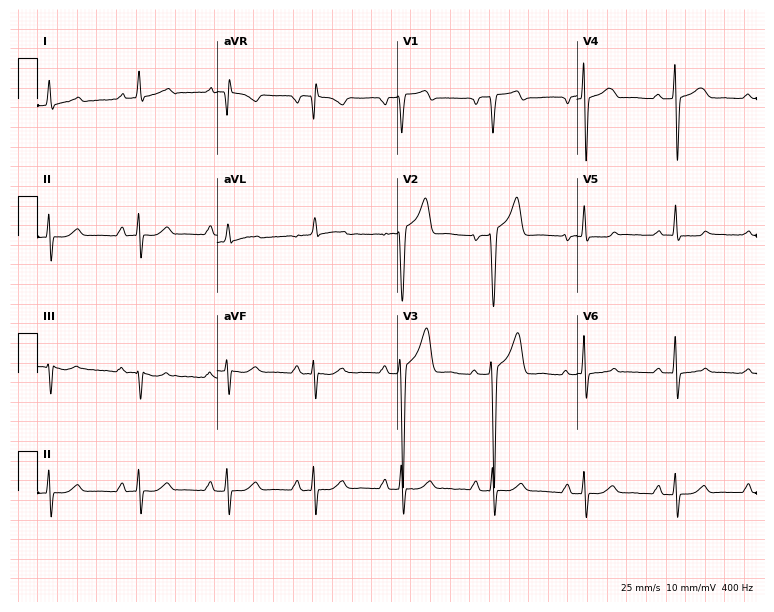
12-lead ECG from a 40-year-old male. No first-degree AV block, right bundle branch block, left bundle branch block, sinus bradycardia, atrial fibrillation or sinus tachycardia recorded for this tracing. Only these six findings were labelled.